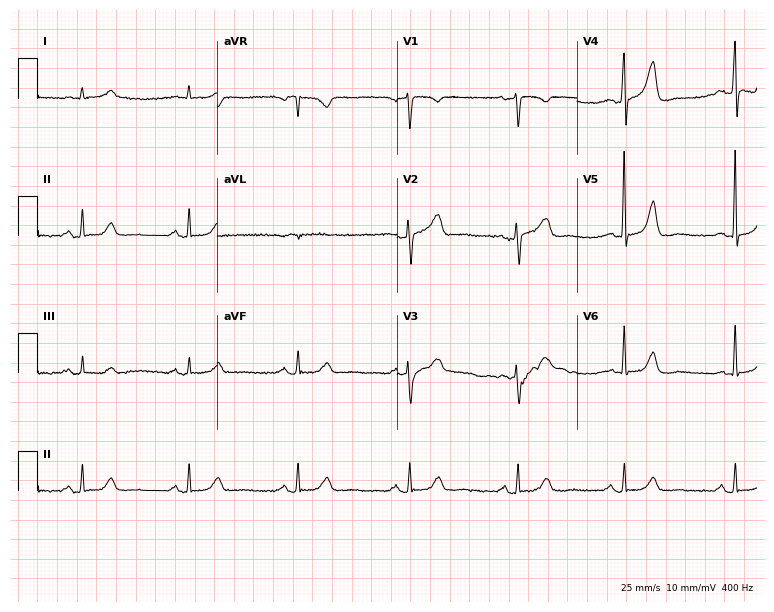
Standard 12-lead ECG recorded from a 75-year-old male (7.3-second recording at 400 Hz). None of these six findings is recorded: first-degree AV block, right bundle branch block, left bundle branch block, sinus bradycardia, atrial fibrillation, sinus tachycardia.